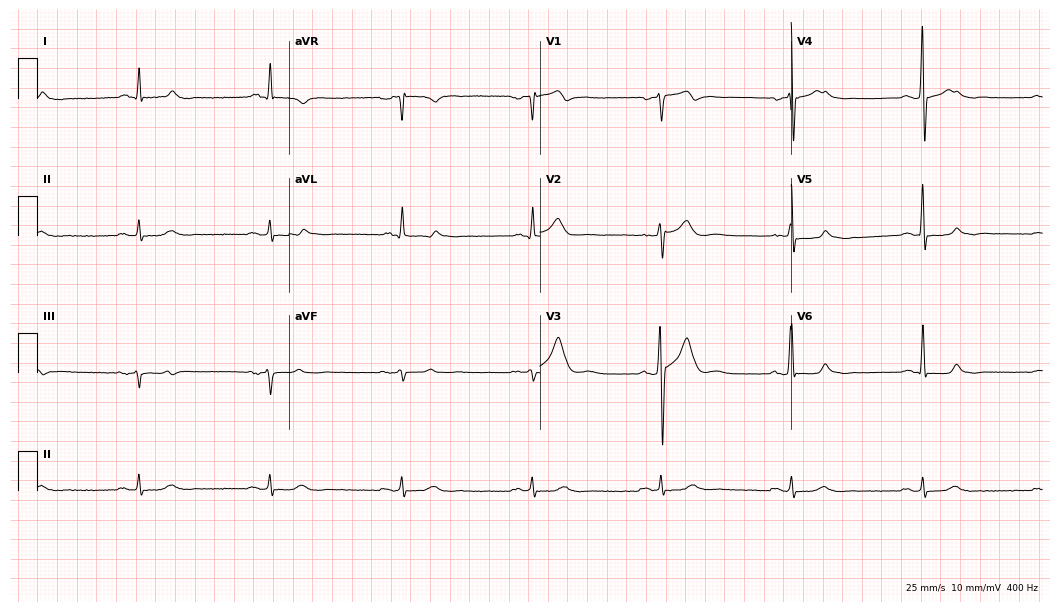
Electrocardiogram (10.2-second recording at 400 Hz), a 64-year-old man. Of the six screened findings (first-degree AV block, right bundle branch block, left bundle branch block, sinus bradycardia, atrial fibrillation, sinus tachycardia), none is recorded.